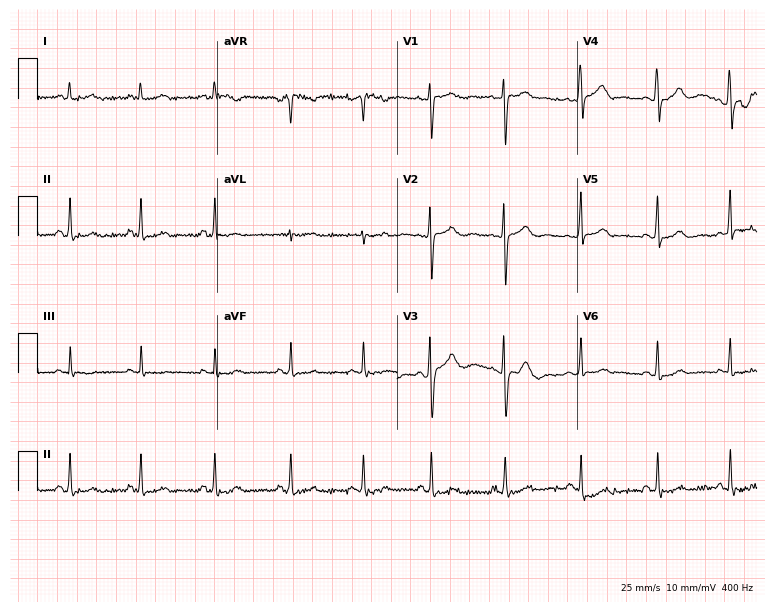
12-lead ECG from a female, 19 years old. Labelled as a normal ECG.